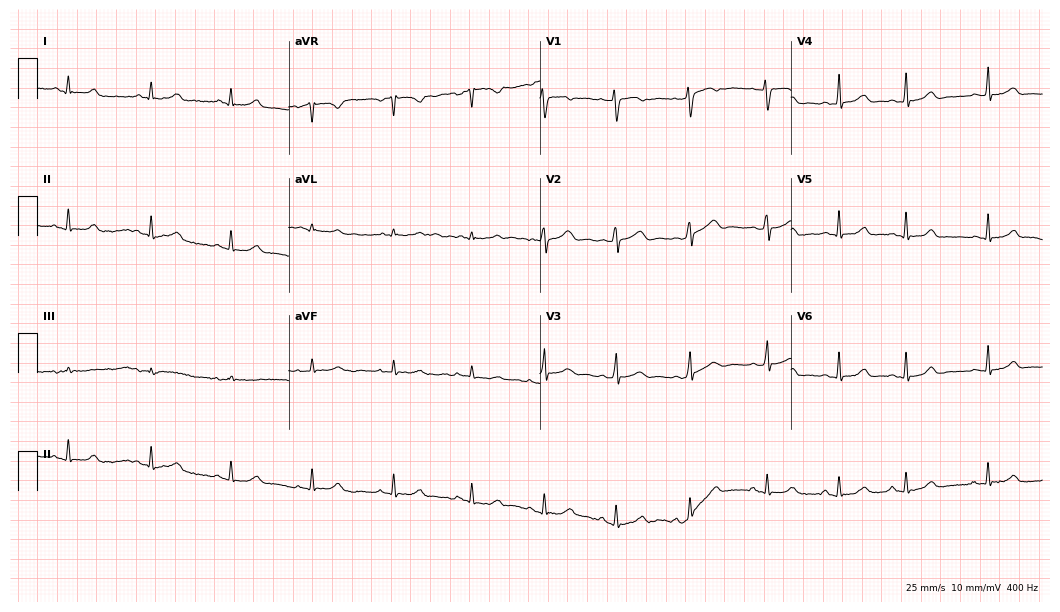
ECG — a woman, 18 years old. Labelled as a normal ECG.